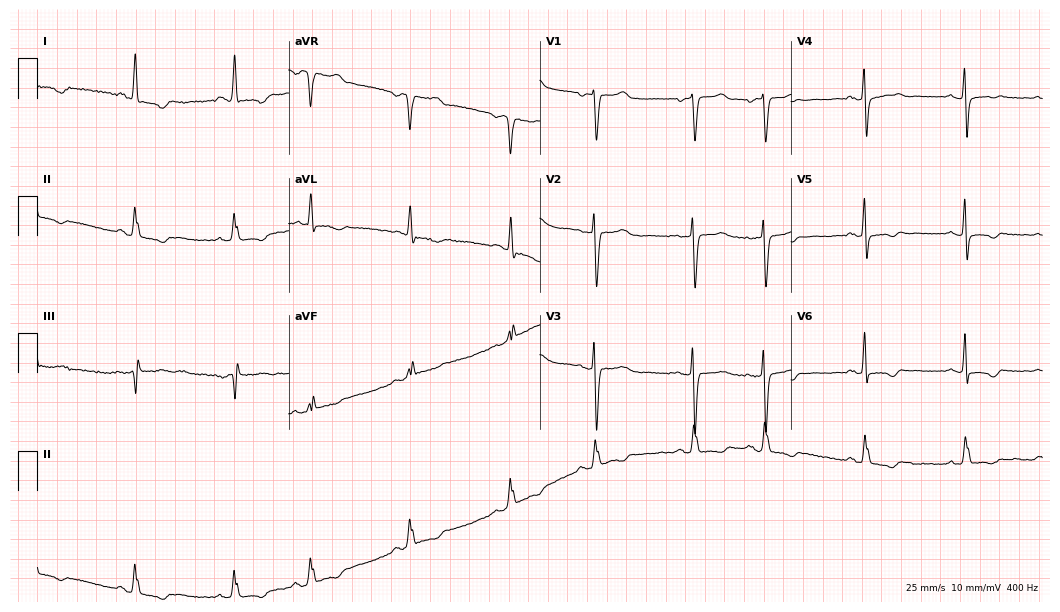
Standard 12-lead ECG recorded from a 74-year-old woman (10.2-second recording at 400 Hz). None of these six findings is recorded: first-degree AV block, right bundle branch block, left bundle branch block, sinus bradycardia, atrial fibrillation, sinus tachycardia.